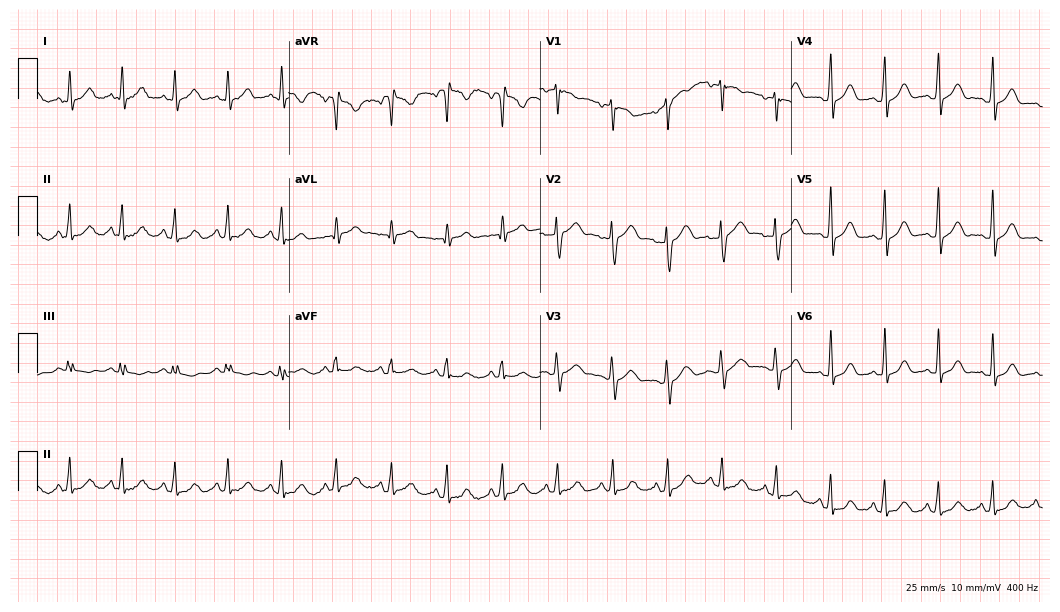
12-lead ECG from a female, 32 years old (10.2-second recording at 400 Hz). No first-degree AV block, right bundle branch block (RBBB), left bundle branch block (LBBB), sinus bradycardia, atrial fibrillation (AF) or sinus tachycardia recorded for this tracing.